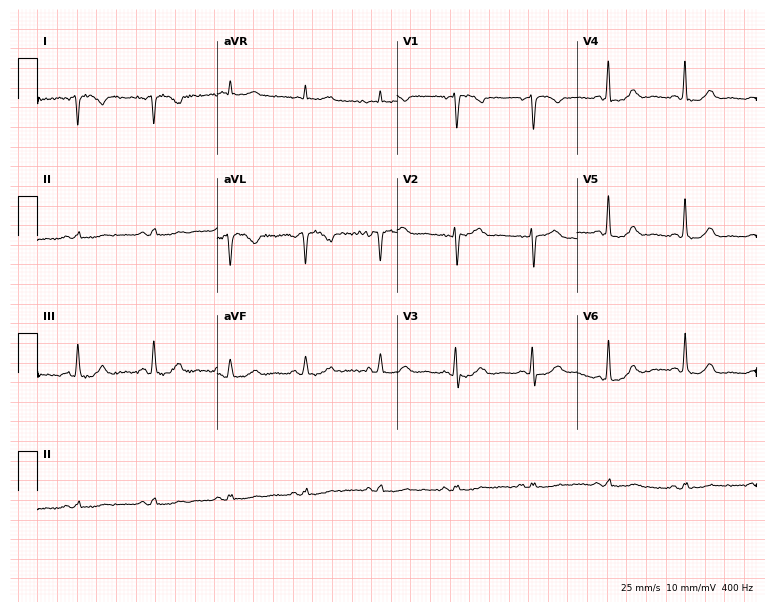
12-lead ECG from a female patient, 50 years old. No first-degree AV block, right bundle branch block (RBBB), left bundle branch block (LBBB), sinus bradycardia, atrial fibrillation (AF) or sinus tachycardia recorded for this tracing. Findings outside these six are not listed.